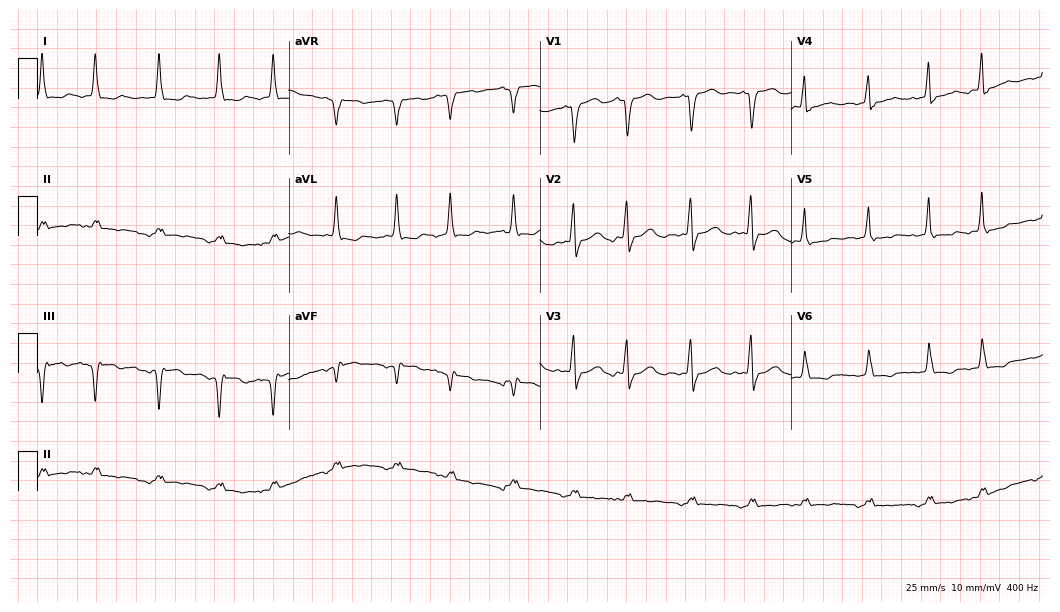
Electrocardiogram (10.2-second recording at 400 Hz), a 71-year-old female. Of the six screened findings (first-degree AV block, right bundle branch block, left bundle branch block, sinus bradycardia, atrial fibrillation, sinus tachycardia), none is recorded. Only these six findings were labelled.